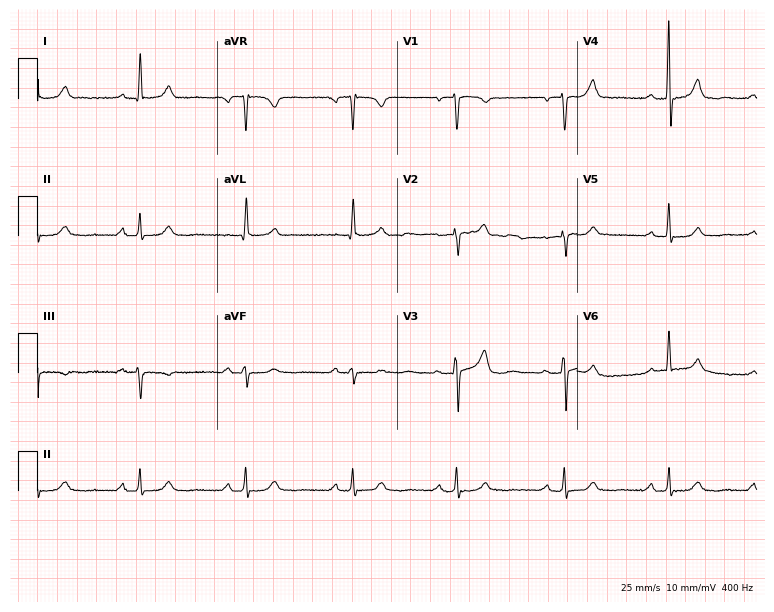
Electrocardiogram (7.3-second recording at 400 Hz), a female patient, 73 years old. Of the six screened findings (first-degree AV block, right bundle branch block, left bundle branch block, sinus bradycardia, atrial fibrillation, sinus tachycardia), none is recorded.